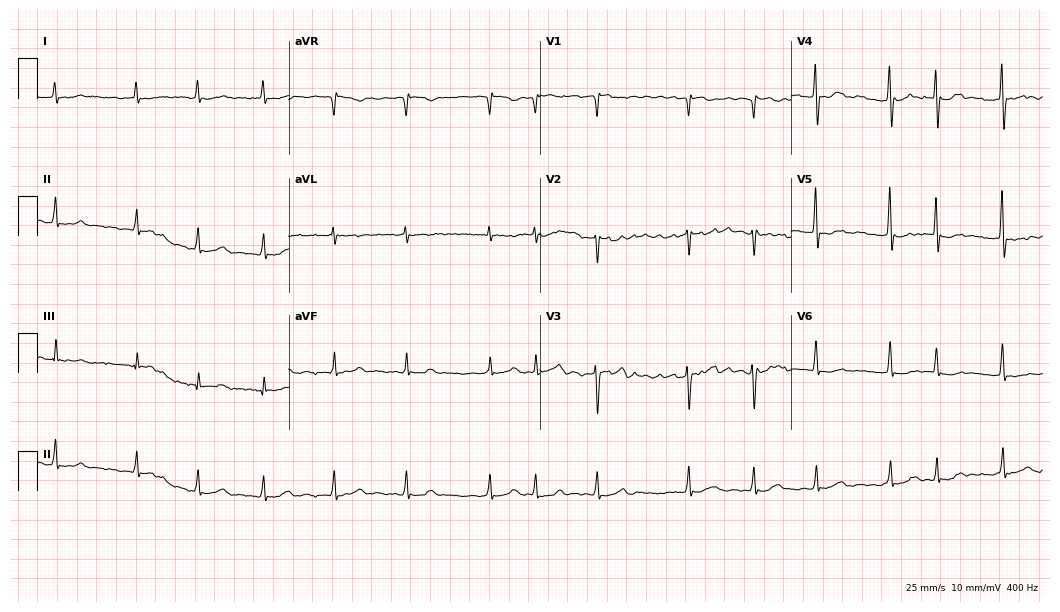
12-lead ECG from a male patient, 79 years old. Shows atrial fibrillation.